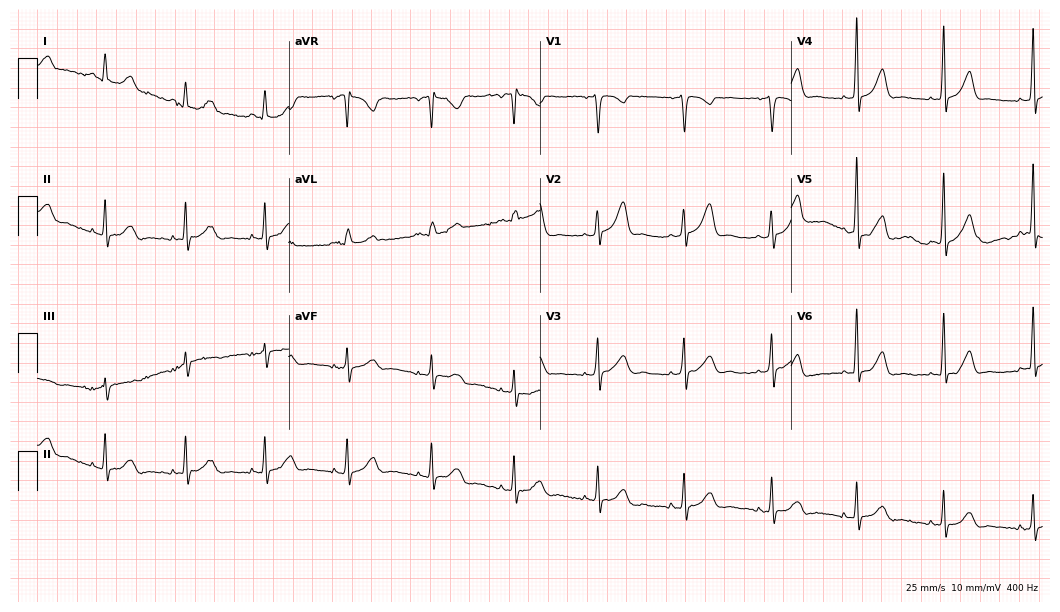
12-lead ECG from a woman, 39 years old. Labelled as a normal ECG.